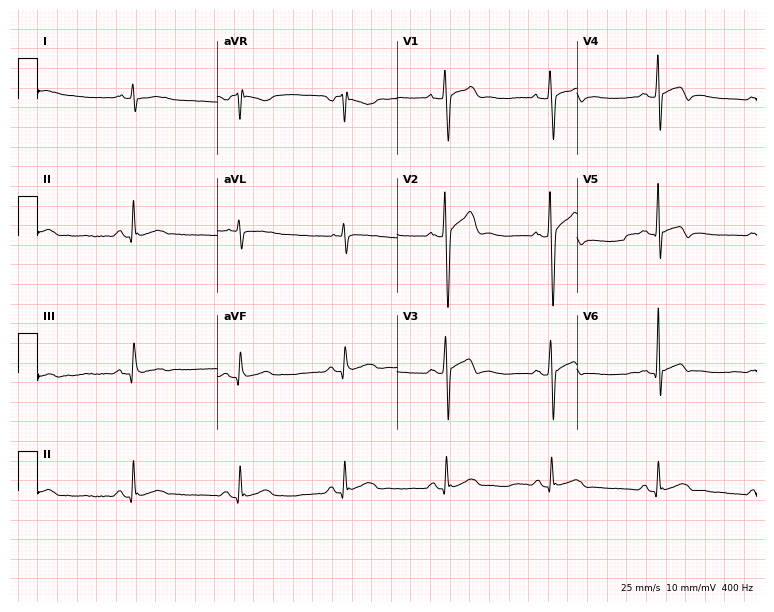
12-lead ECG from a male patient, 33 years old (7.3-second recording at 400 Hz). No first-degree AV block, right bundle branch block (RBBB), left bundle branch block (LBBB), sinus bradycardia, atrial fibrillation (AF) or sinus tachycardia recorded for this tracing. Other findings, if any, are not listed.